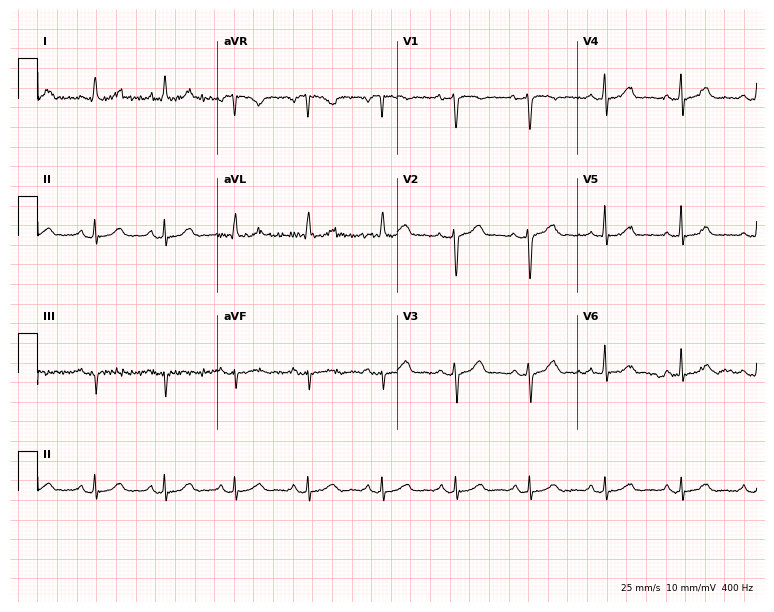
12-lead ECG from a woman, 64 years old. Labelled as a normal ECG.